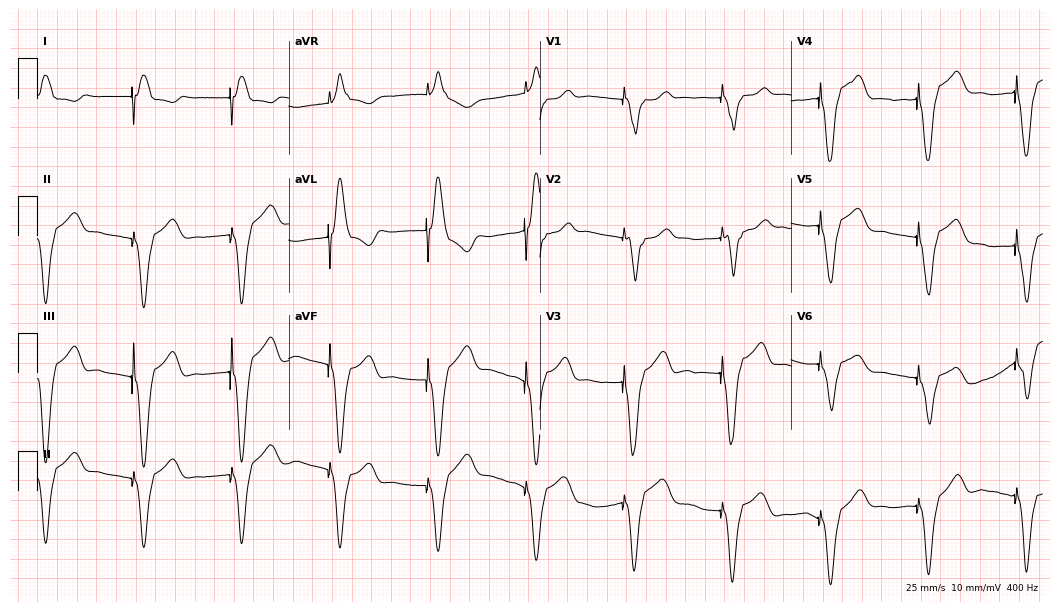
Electrocardiogram, a 72-year-old female. Of the six screened findings (first-degree AV block, right bundle branch block, left bundle branch block, sinus bradycardia, atrial fibrillation, sinus tachycardia), none is recorded. Only these six findings were labelled.